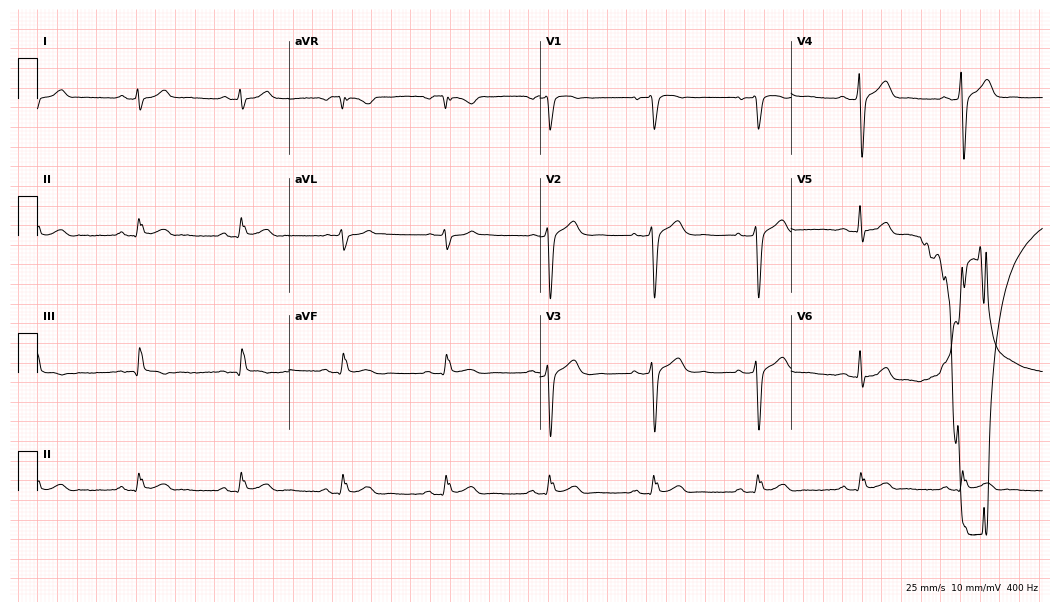
Standard 12-lead ECG recorded from a 74-year-old male. None of these six findings is recorded: first-degree AV block, right bundle branch block, left bundle branch block, sinus bradycardia, atrial fibrillation, sinus tachycardia. Findings outside these six are not listed.